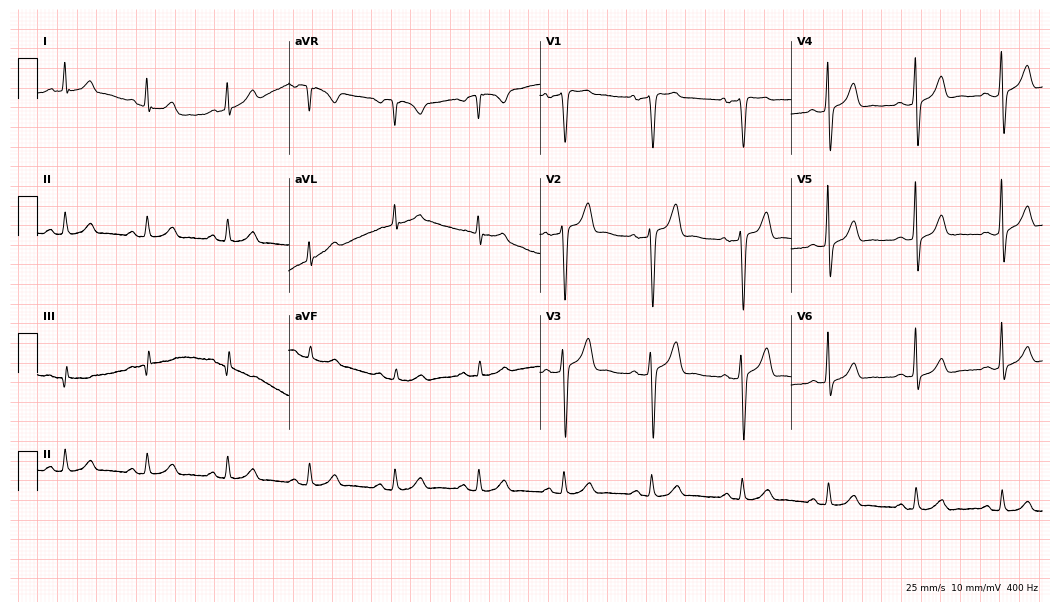
Resting 12-lead electrocardiogram. Patient: a 40-year-old male. None of these six findings is recorded: first-degree AV block, right bundle branch block, left bundle branch block, sinus bradycardia, atrial fibrillation, sinus tachycardia.